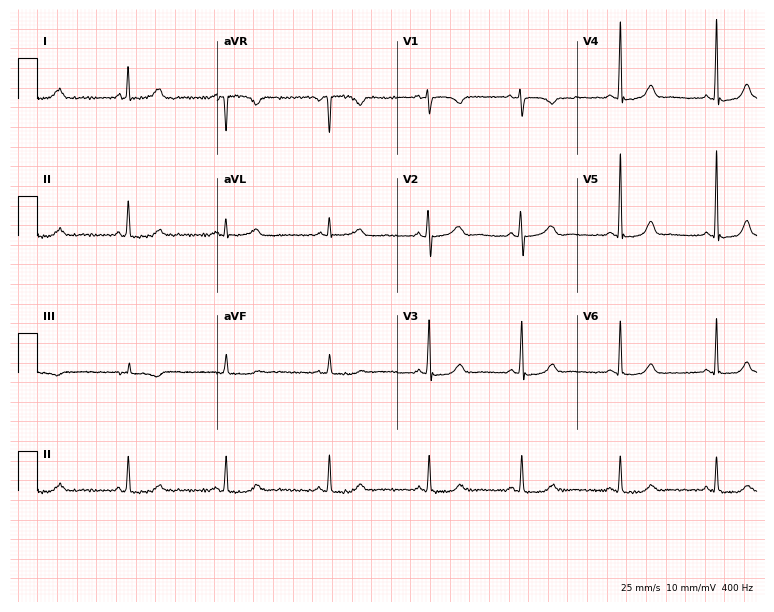
Standard 12-lead ECG recorded from a 35-year-old female (7.3-second recording at 400 Hz). None of these six findings is recorded: first-degree AV block, right bundle branch block, left bundle branch block, sinus bradycardia, atrial fibrillation, sinus tachycardia.